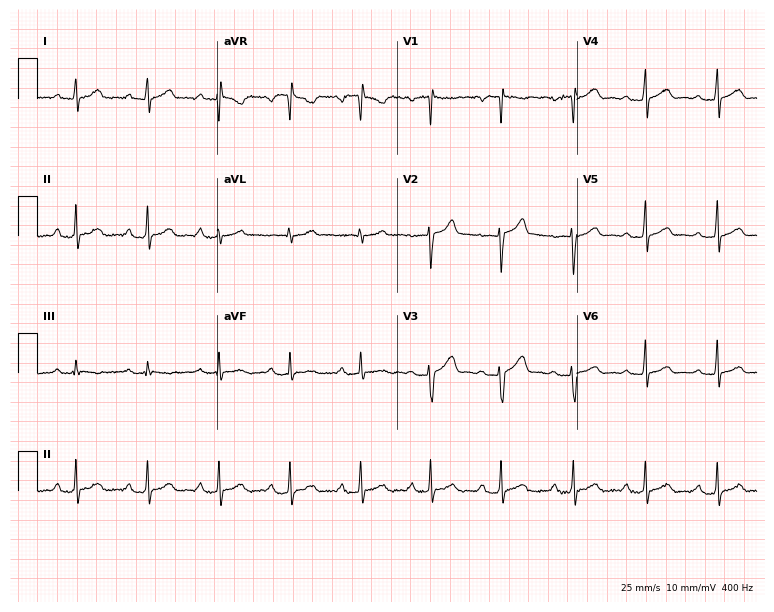
12-lead ECG from a 32-year-old male. Labelled as a normal ECG.